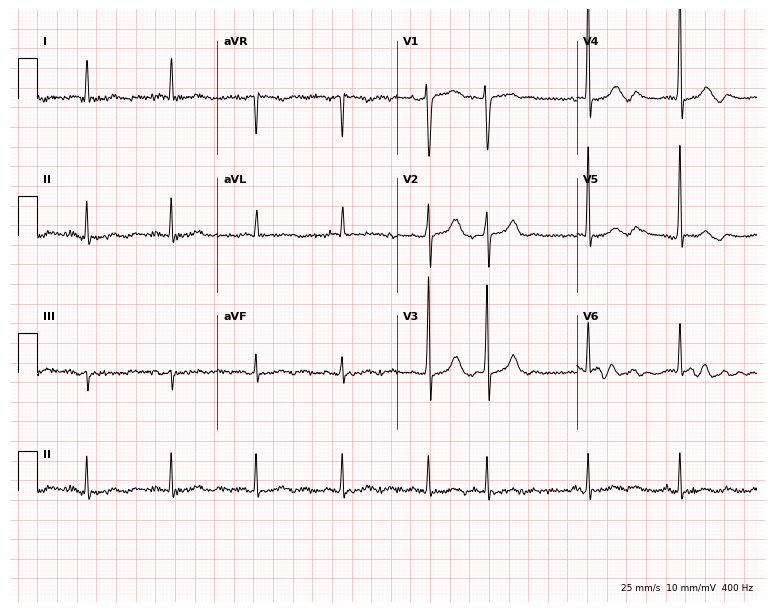
12-lead ECG (7.3-second recording at 400 Hz) from a female patient, 72 years old. Labelled as a normal ECG.